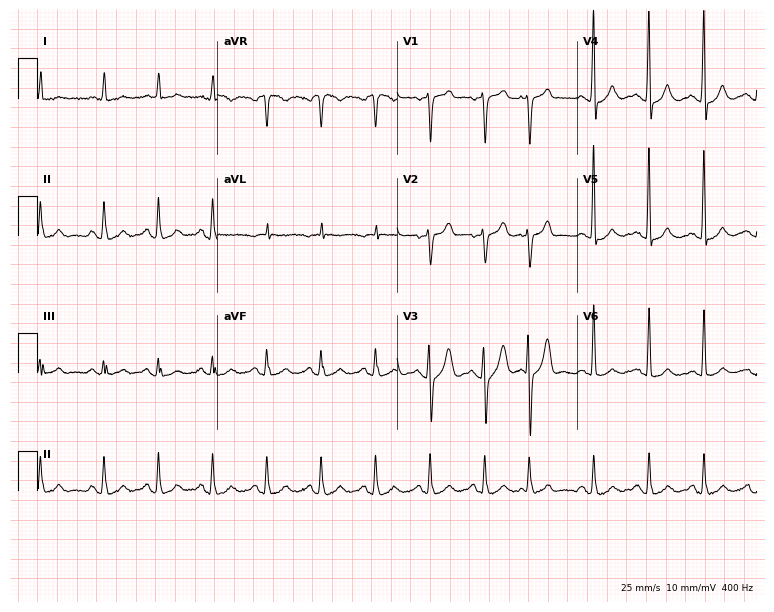
12-lead ECG from a male, 75 years old (7.3-second recording at 400 Hz). Shows sinus tachycardia (a sinus rate of 100 beats per minute or more).